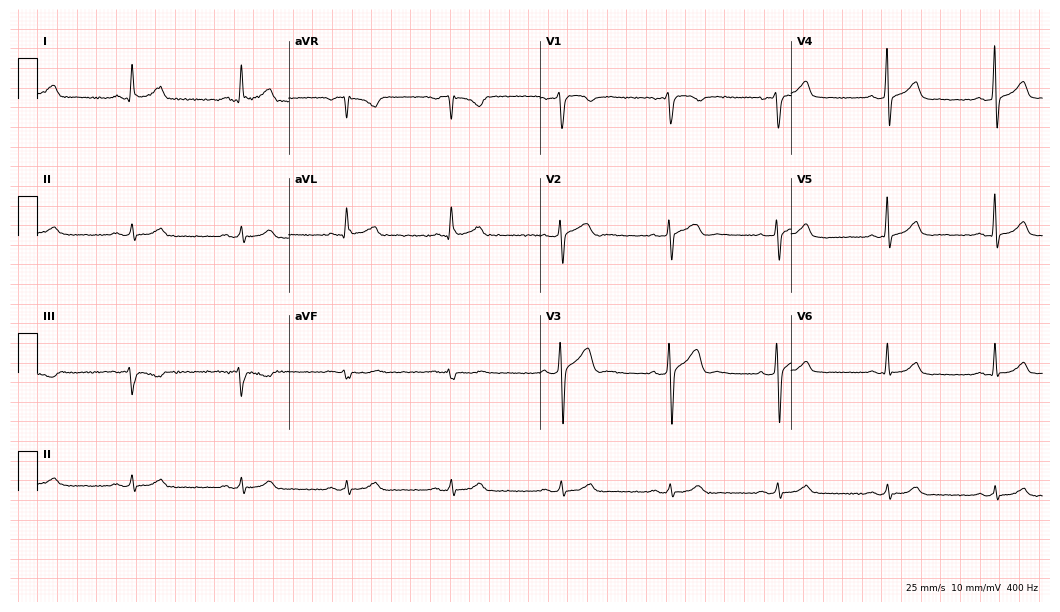
ECG (10.2-second recording at 400 Hz) — a male, 50 years old. Labelled as a normal ECG.